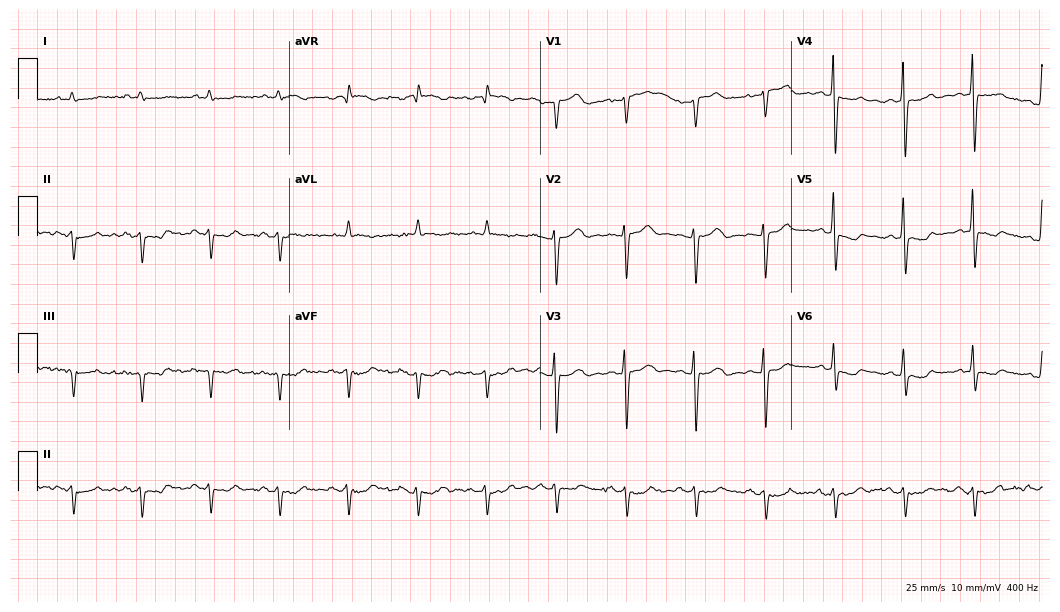
ECG (10.2-second recording at 400 Hz) — a female, 80 years old. Screened for six findings — first-degree AV block, right bundle branch block (RBBB), left bundle branch block (LBBB), sinus bradycardia, atrial fibrillation (AF), sinus tachycardia — none is recorded. Other findings, if any, are not listed.